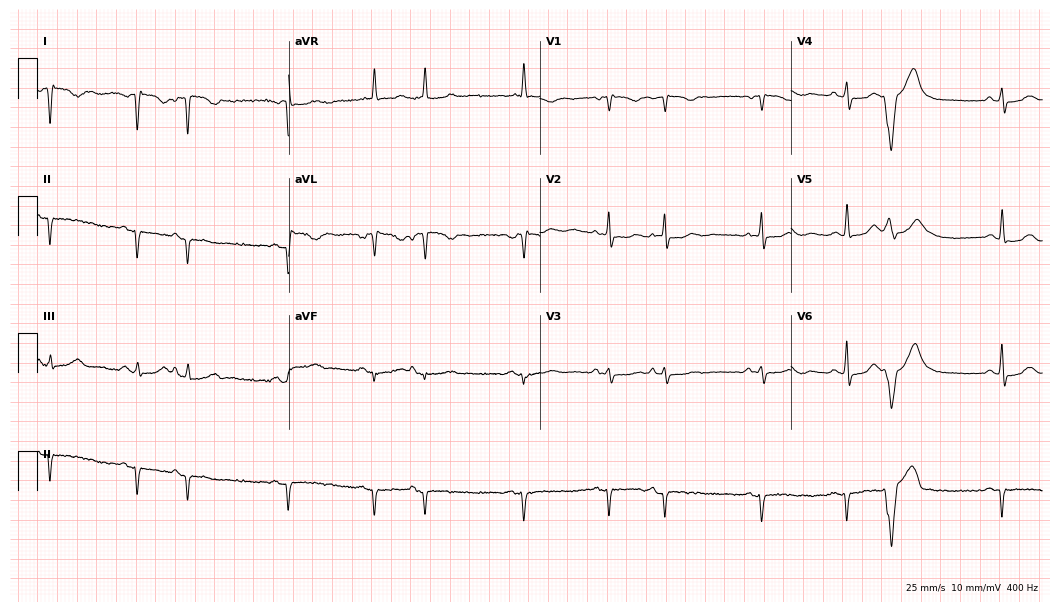
12-lead ECG from a woman, 82 years old. Screened for six findings — first-degree AV block, right bundle branch block, left bundle branch block, sinus bradycardia, atrial fibrillation, sinus tachycardia — none is recorded. Only these six findings were labelled.